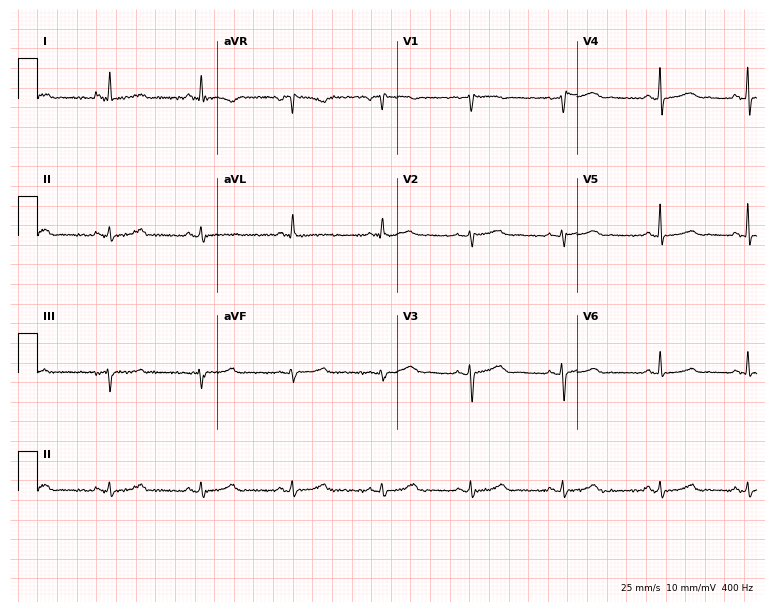
Resting 12-lead electrocardiogram. Patient: a 56-year-old woman. None of these six findings is recorded: first-degree AV block, right bundle branch block, left bundle branch block, sinus bradycardia, atrial fibrillation, sinus tachycardia. Findings outside these six are not listed.